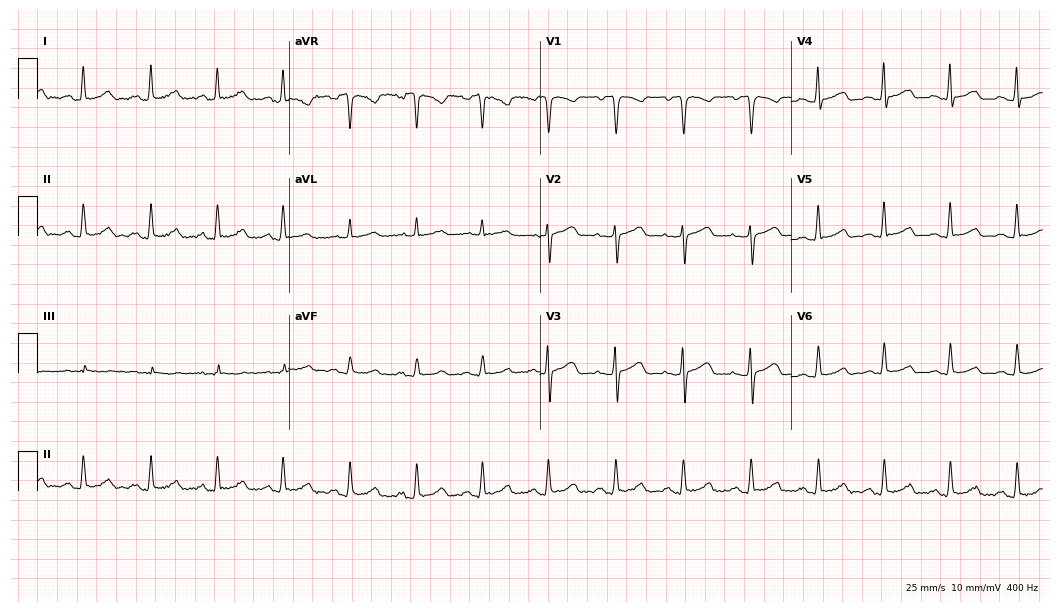
Resting 12-lead electrocardiogram. Patient: a 35-year-old female. None of these six findings is recorded: first-degree AV block, right bundle branch block, left bundle branch block, sinus bradycardia, atrial fibrillation, sinus tachycardia.